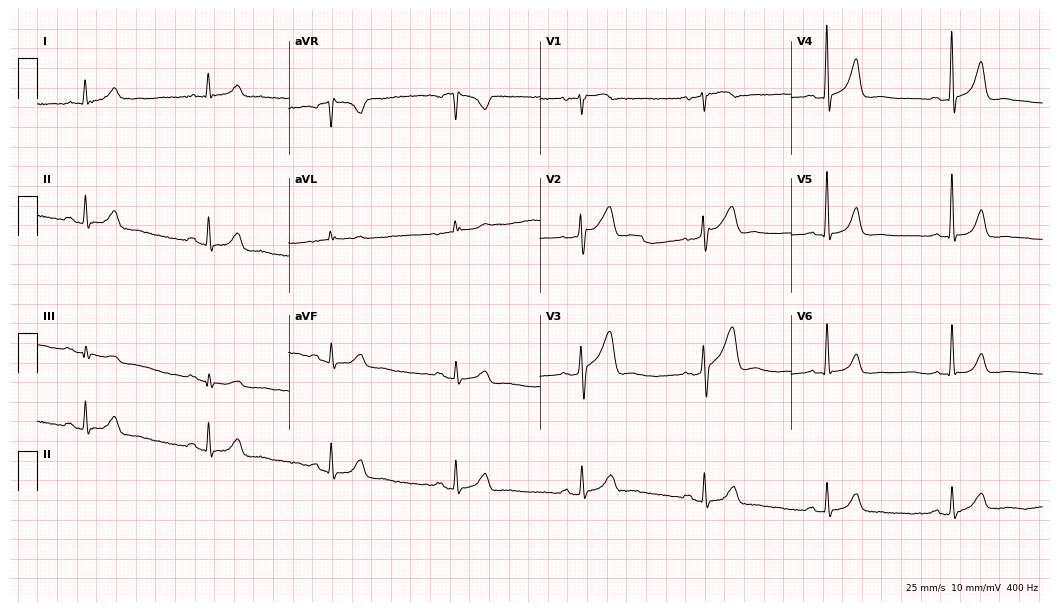
Electrocardiogram, an 81-year-old male patient. Interpretation includes sinus bradycardia (a sinus rate of 50 beats per minute or less).